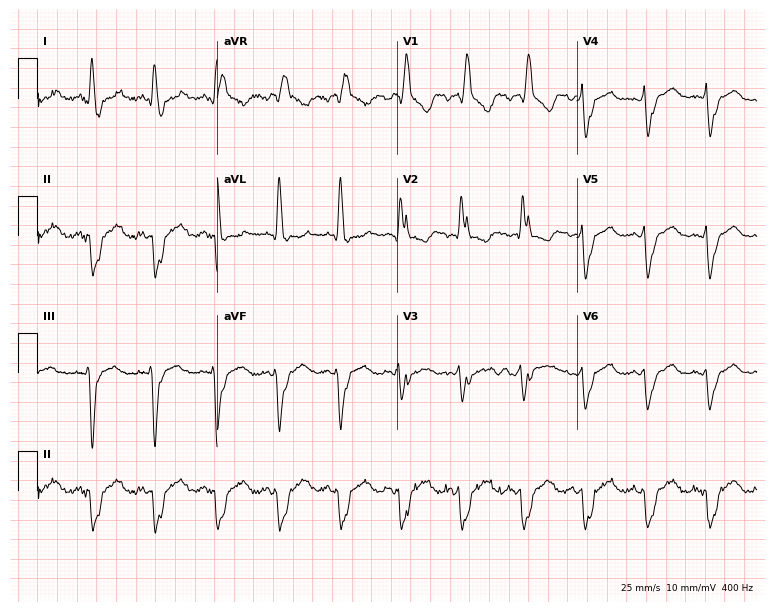
ECG (7.3-second recording at 400 Hz) — a man, 49 years old. Findings include right bundle branch block (RBBB).